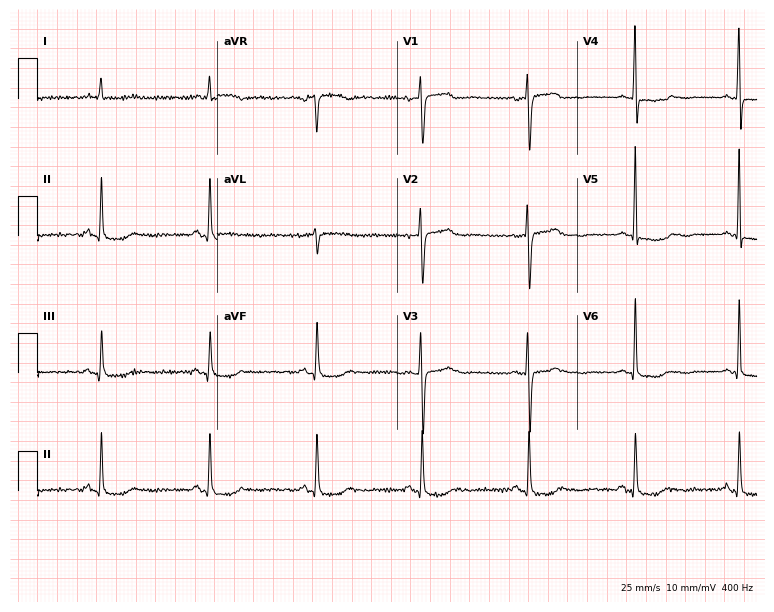
Standard 12-lead ECG recorded from a 62-year-old female. None of these six findings is recorded: first-degree AV block, right bundle branch block, left bundle branch block, sinus bradycardia, atrial fibrillation, sinus tachycardia.